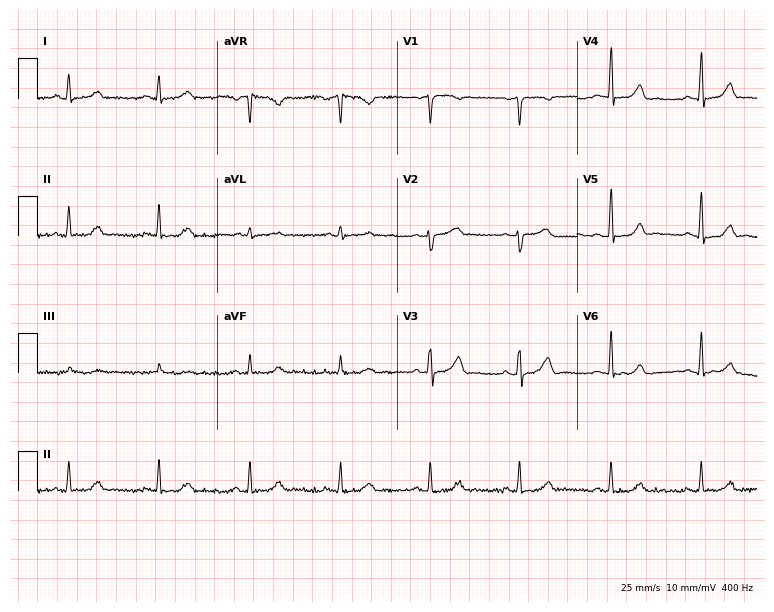
ECG — a female patient, 45 years old. Screened for six findings — first-degree AV block, right bundle branch block, left bundle branch block, sinus bradycardia, atrial fibrillation, sinus tachycardia — none is recorded.